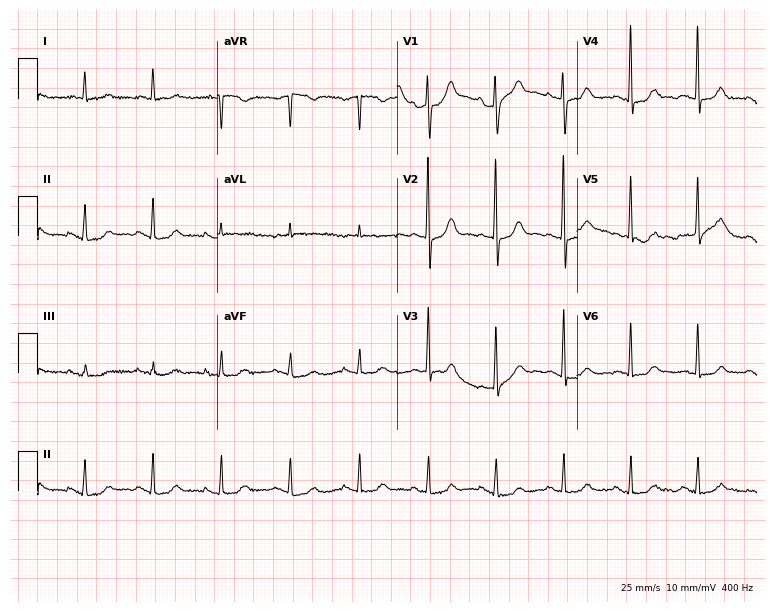
Electrocardiogram, a female, 85 years old. Of the six screened findings (first-degree AV block, right bundle branch block, left bundle branch block, sinus bradycardia, atrial fibrillation, sinus tachycardia), none is recorded. Only these six findings were labelled.